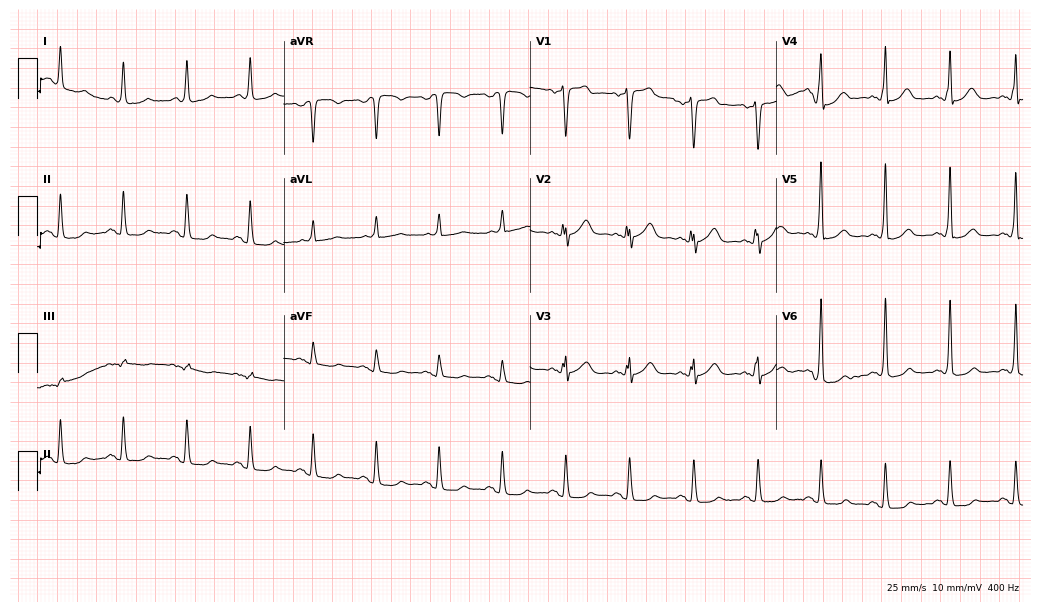
12-lead ECG from a male patient, 79 years old. Screened for six findings — first-degree AV block, right bundle branch block, left bundle branch block, sinus bradycardia, atrial fibrillation, sinus tachycardia — none is recorded.